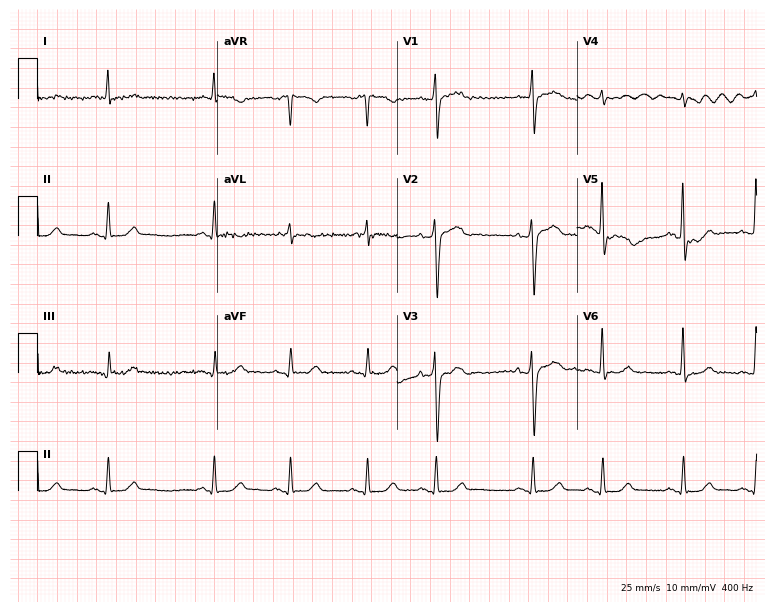
Electrocardiogram, a 64-year-old male patient. Of the six screened findings (first-degree AV block, right bundle branch block, left bundle branch block, sinus bradycardia, atrial fibrillation, sinus tachycardia), none is recorded. Findings outside these six are not listed.